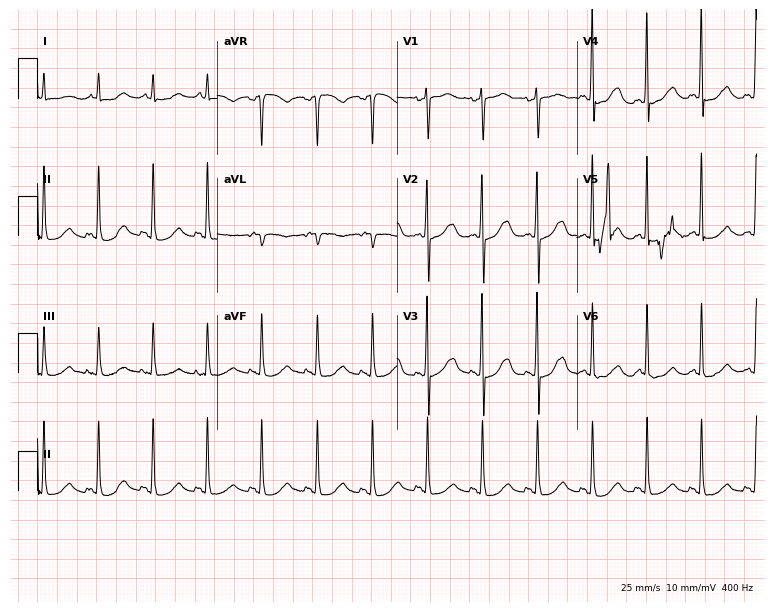
Standard 12-lead ECG recorded from a 78-year-old woman (7.3-second recording at 400 Hz). The tracing shows sinus tachycardia (a sinus rate of 100 beats per minute or more).